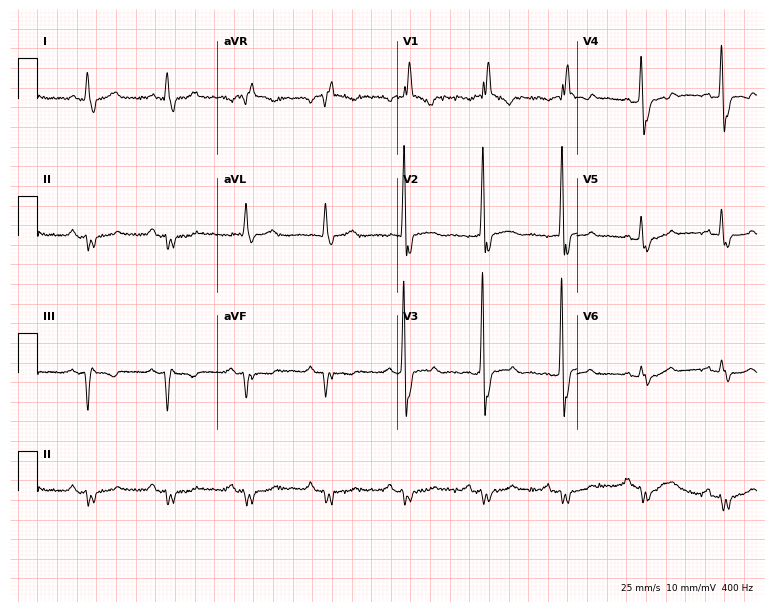
12-lead ECG from a 78-year-old man. Shows right bundle branch block (RBBB).